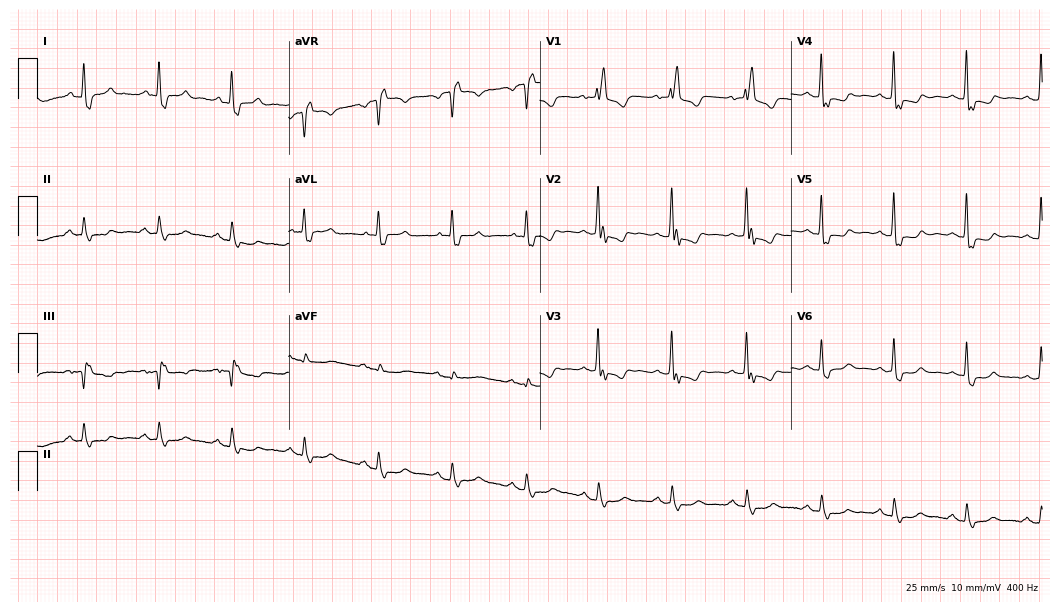
12-lead ECG (10.2-second recording at 400 Hz) from a 66-year-old female. Findings include right bundle branch block.